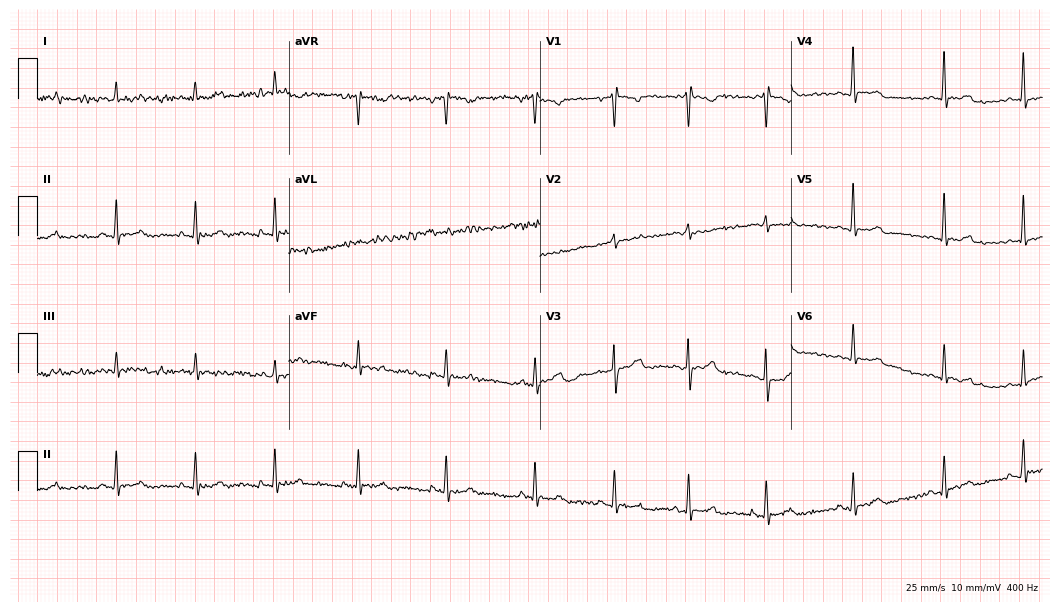
Resting 12-lead electrocardiogram. Patient: a 36-year-old female. None of these six findings is recorded: first-degree AV block, right bundle branch block, left bundle branch block, sinus bradycardia, atrial fibrillation, sinus tachycardia.